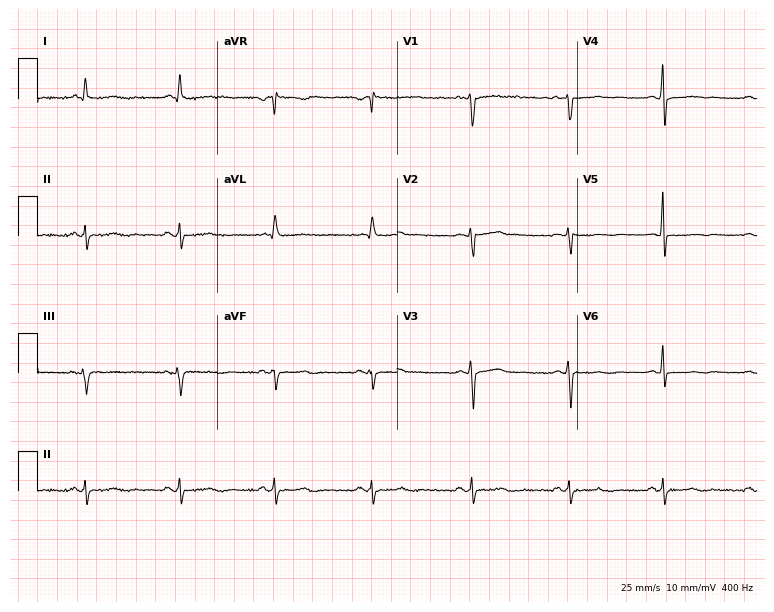
Resting 12-lead electrocardiogram (7.3-second recording at 400 Hz). Patient: a 43-year-old woman. None of these six findings is recorded: first-degree AV block, right bundle branch block, left bundle branch block, sinus bradycardia, atrial fibrillation, sinus tachycardia. Only these six findings were labelled.